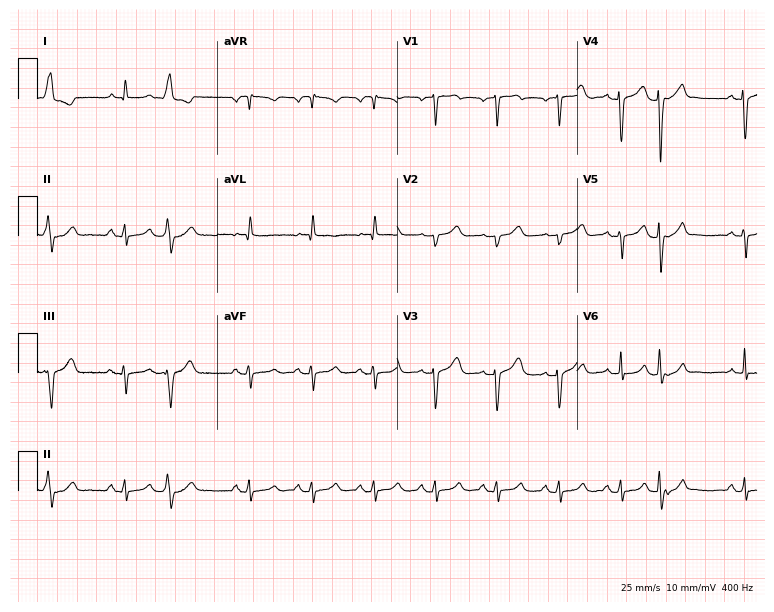
Standard 12-lead ECG recorded from a male patient, 76 years old. None of these six findings is recorded: first-degree AV block, right bundle branch block, left bundle branch block, sinus bradycardia, atrial fibrillation, sinus tachycardia. Only these six findings were labelled.